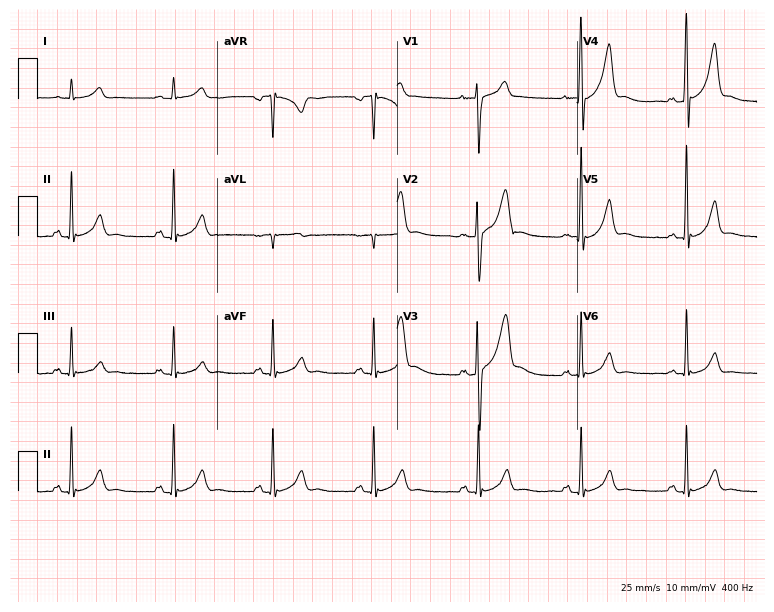
Resting 12-lead electrocardiogram (7.3-second recording at 400 Hz). Patient: a male, 33 years old. Read as a normal ECG.